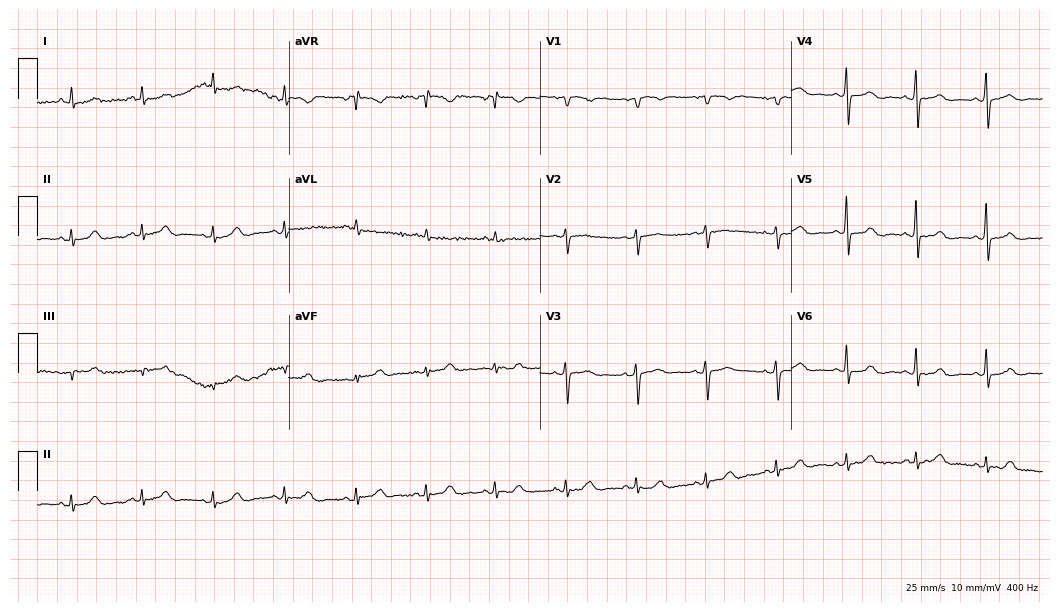
Standard 12-lead ECG recorded from a 64-year-old female patient. Read as a normal ECG.